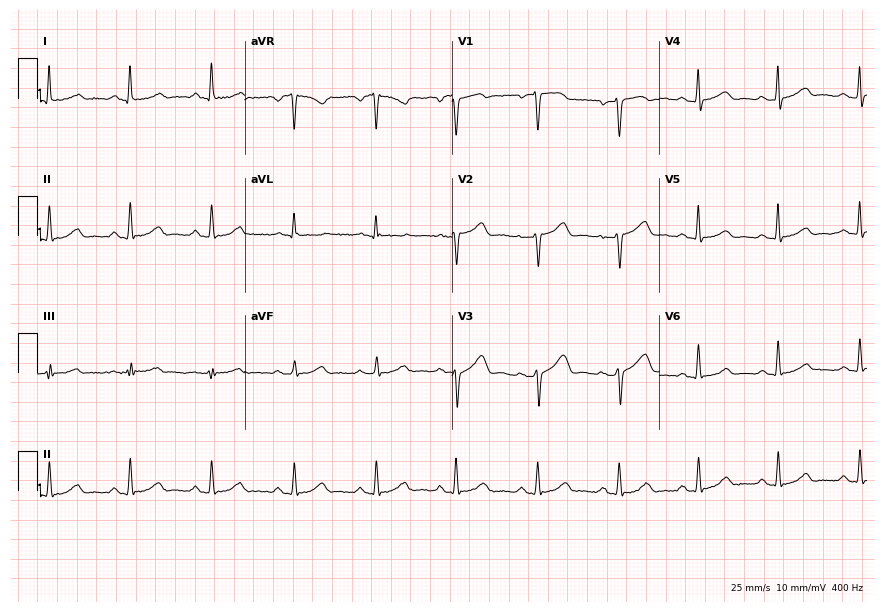
Standard 12-lead ECG recorded from a 52-year-old female patient. Read as a normal ECG.